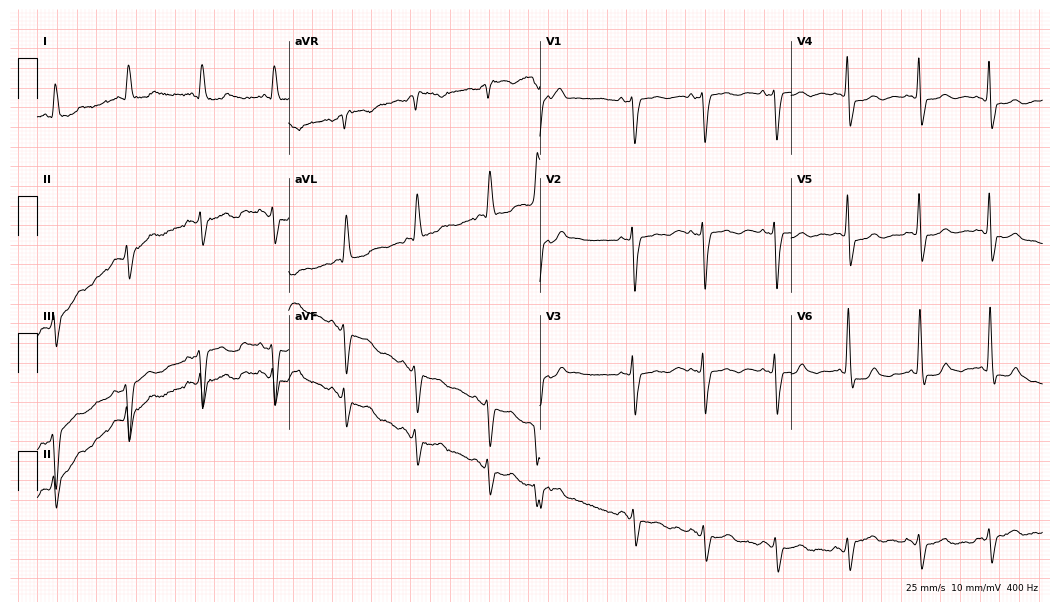
12-lead ECG from an 84-year-old female patient. No first-degree AV block, right bundle branch block, left bundle branch block, sinus bradycardia, atrial fibrillation or sinus tachycardia recorded for this tracing. Only these six findings were labelled.